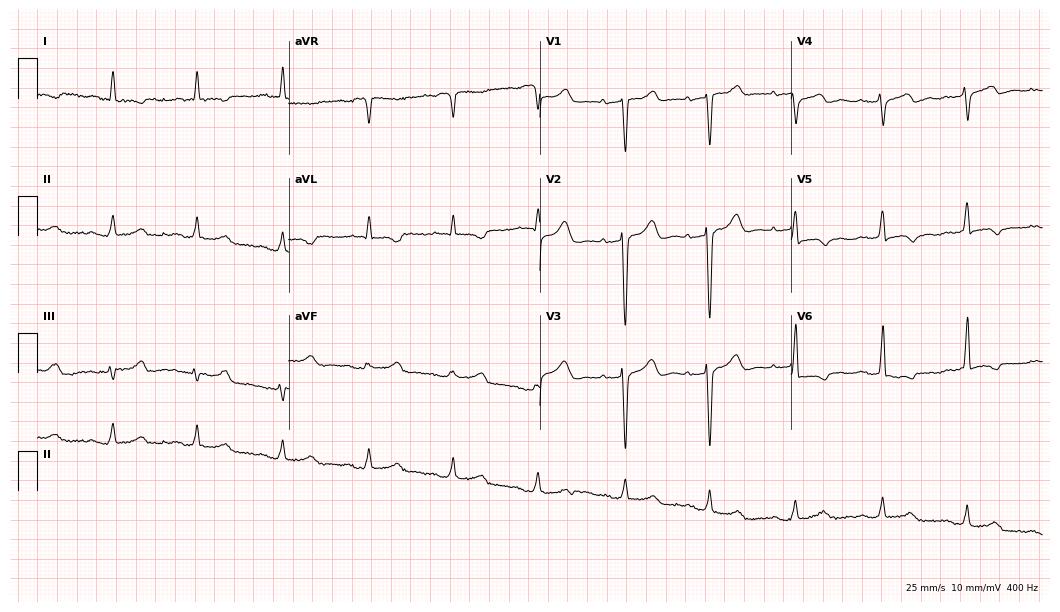
Electrocardiogram, a 76-year-old female. Interpretation includes first-degree AV block.